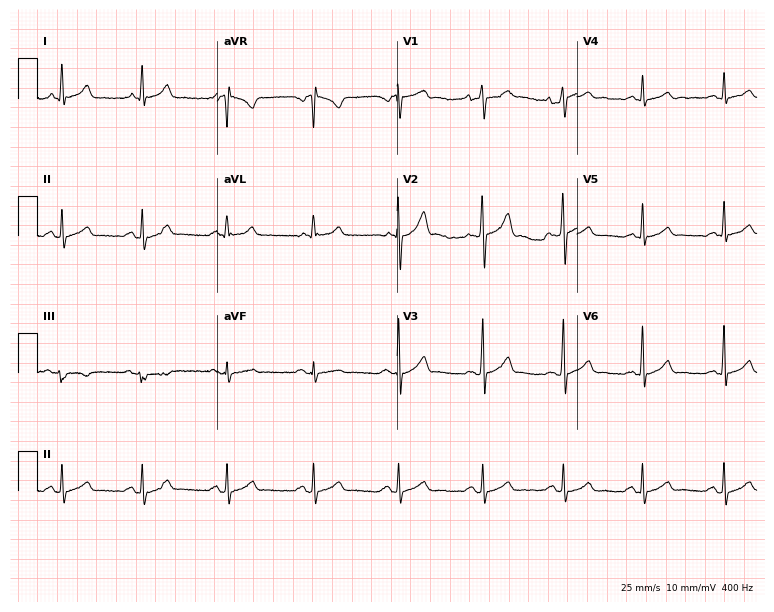
12-lead ECG from a male patient, 20 years old (7.3-second recording at 400 Hz). Recorded interpretation: within normal limits.